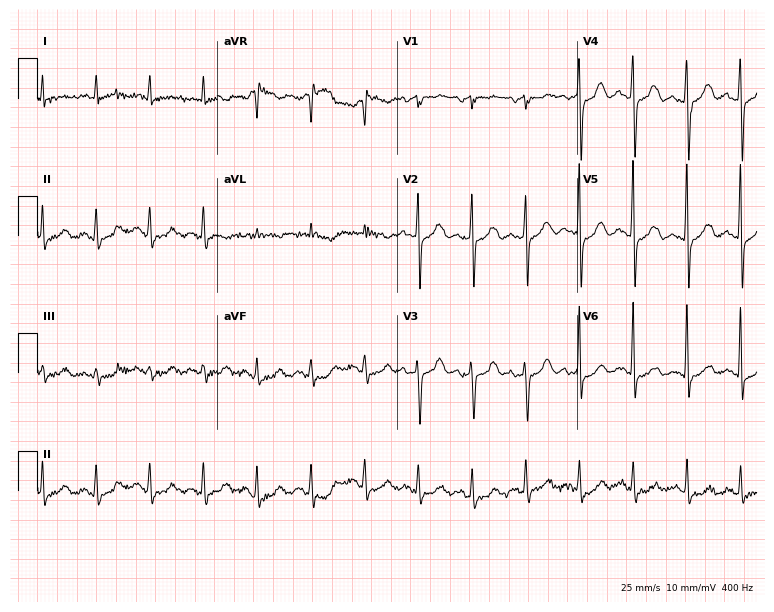
Resting 12-lead electrocardiogram (7.3-second recording at 400 Hz). Patient: a female, 86 years old. The tracing shows sinus tachycardia (a sinus rate of 100 beats per minute or more).